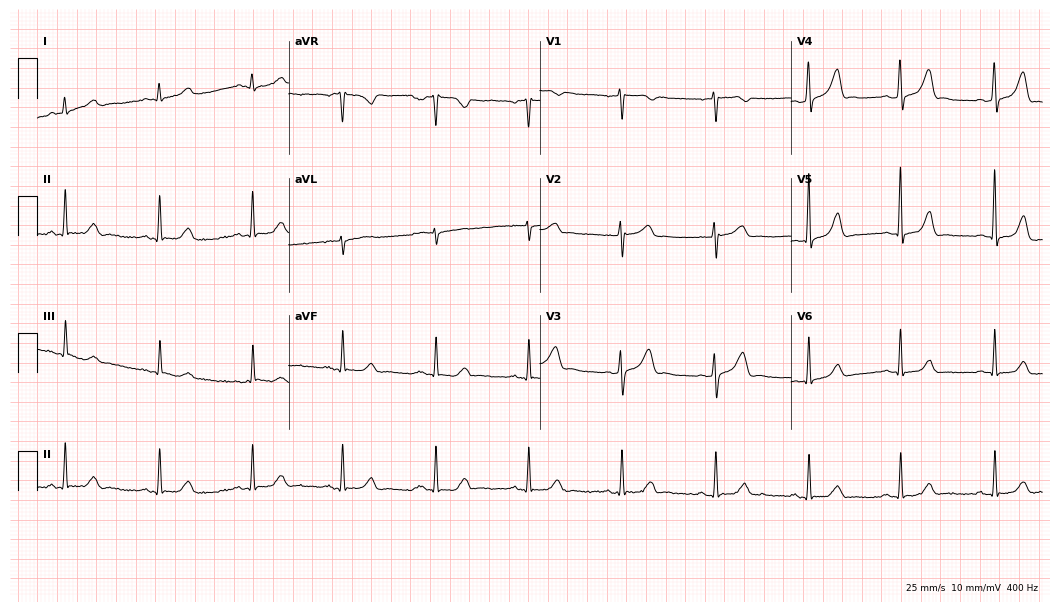
12-lead ECG from a 49-year-old female. Screened for six findings — first-degree AV block, right bundle branch block (RBBB), left bundle branch block (LBBB), sinus bradycardia, atrial fibrillation (AF), sinus tachycardia — none is recorded.